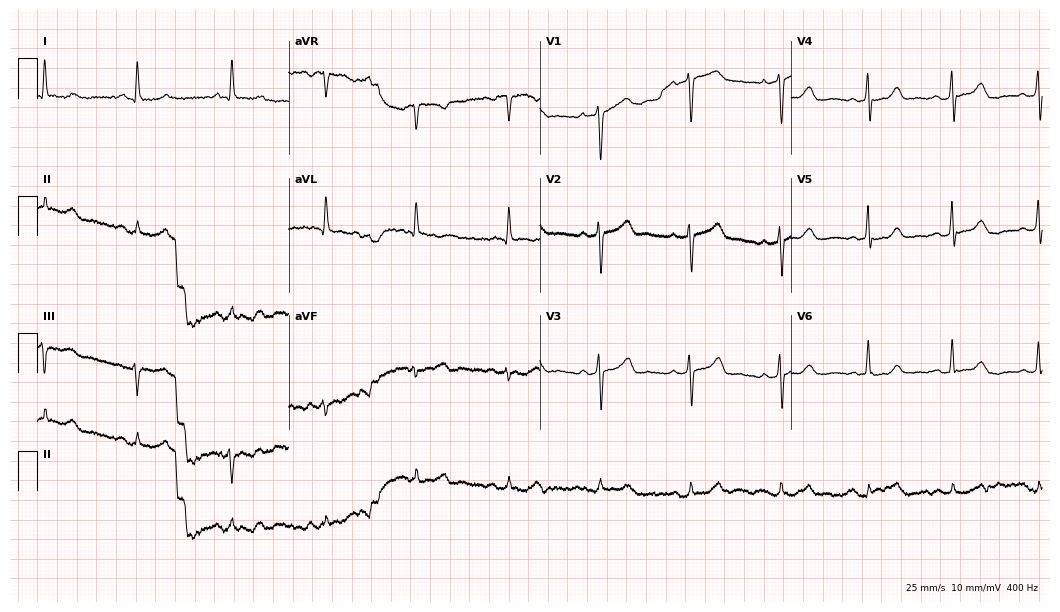
12-lead ECG (10.2-second recording at 400 Hz) from a 74-year-old female. Screened for six findings — first-degree AV block, right bundle branch block, left bundle branch block, sinus bradycardia, atrial fibrillation, sinus tachycardia — none is recorded. Findings outside these six are not listed.